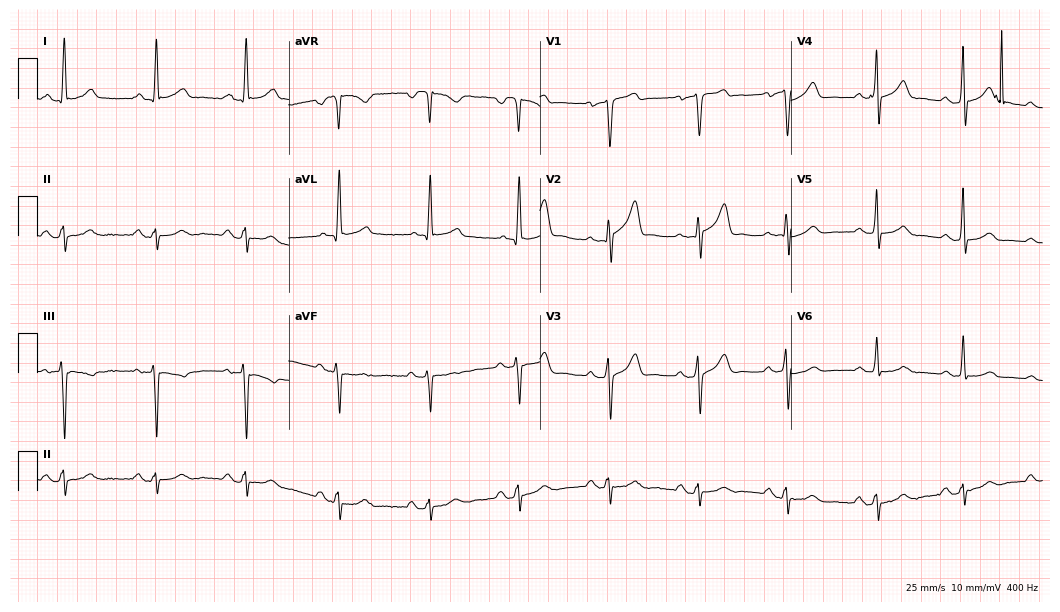
Resting 12-lead electrocardiogram. Patient: a 48-year-old male. None of these six findings is recorded: first-degree AV block, right bundle branch block, left bundle branch block, sinus bradycardia, atrial fibrillation, sinus tachycardia.